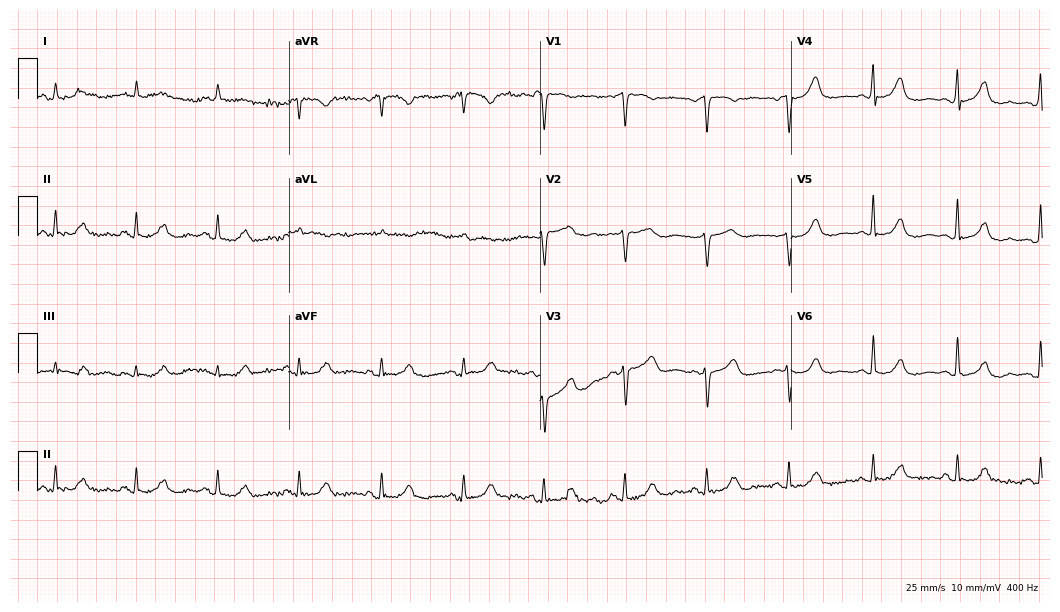
12-lead ECG (10.2-second recording at 400 Hz) from a female, 70 years old. Labelled as a normal ECG.